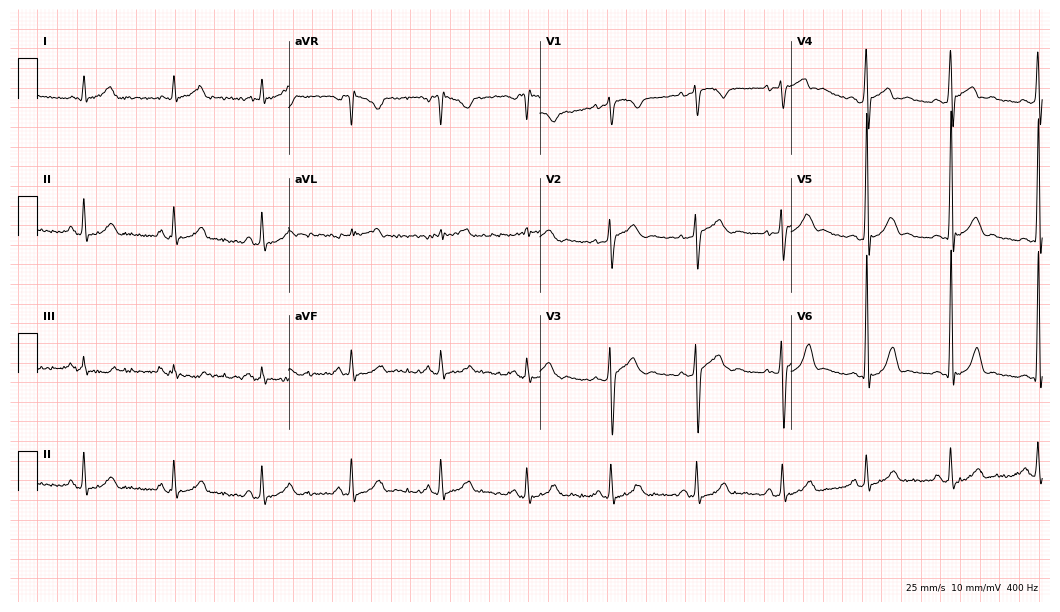
Resting 12-lead electrocardiogram (10.2-second recording at 400 Hz). Patient: a 22-year-old male. None of these six findings is recorded: first-degree AV block, right bundle branch block, left bundle branch block, sinus bradycardia, atrial fibrillation, sinus tachycardia.